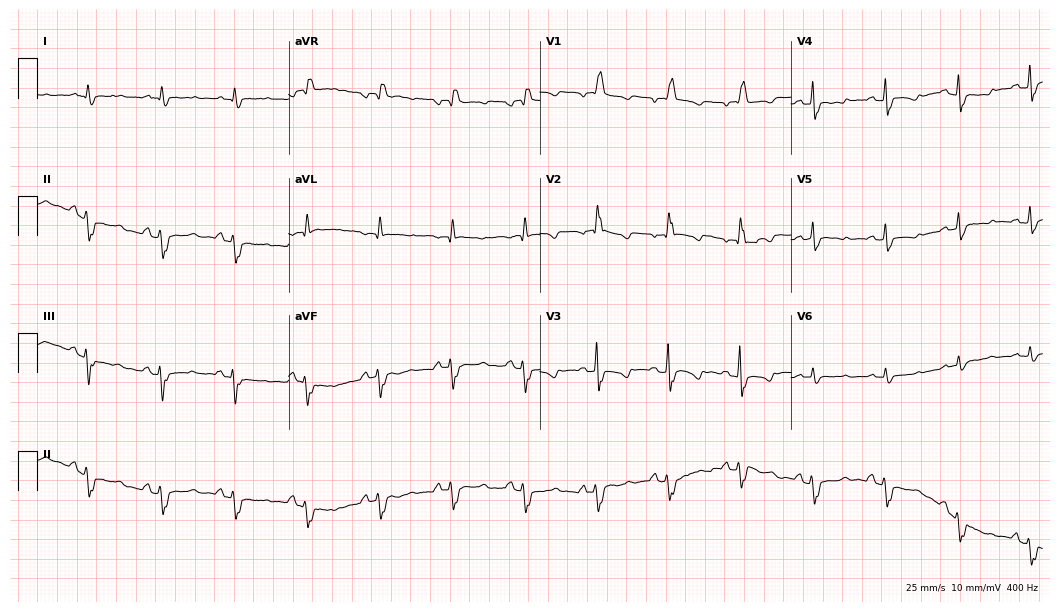
12-lead ECG from a 57-year-old female patient (10.2-second recording at 400 Hz). No first-degree AV block, right bundle branch block (RBBB), left bundle branch block (LBBB), sinus bradycardia, atrial fibrillation (AF) or sinus tachycardia recorded for this tracing. Other findings, if any, are not listed.